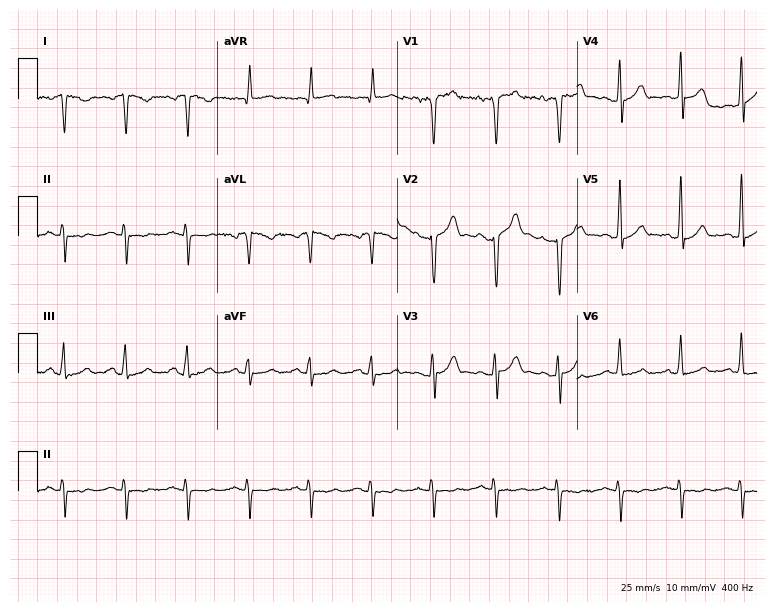
12-lead ECG from a male patient, 55 years old. No first-degree AV block, right bundle branch block, left bundle branch block, sinus bradycardia, atrial fibrillation or sinus tachycardia recorded for this tracing.